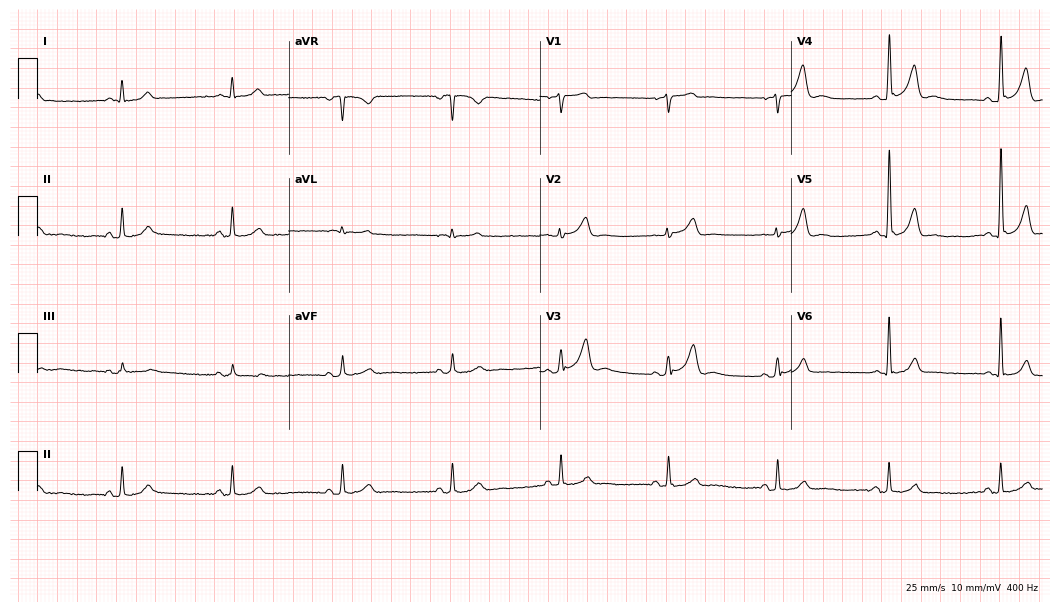
Resting 12-lead electrocardiogram. Patient: a 56-year-old male. Read as a normal ECG.